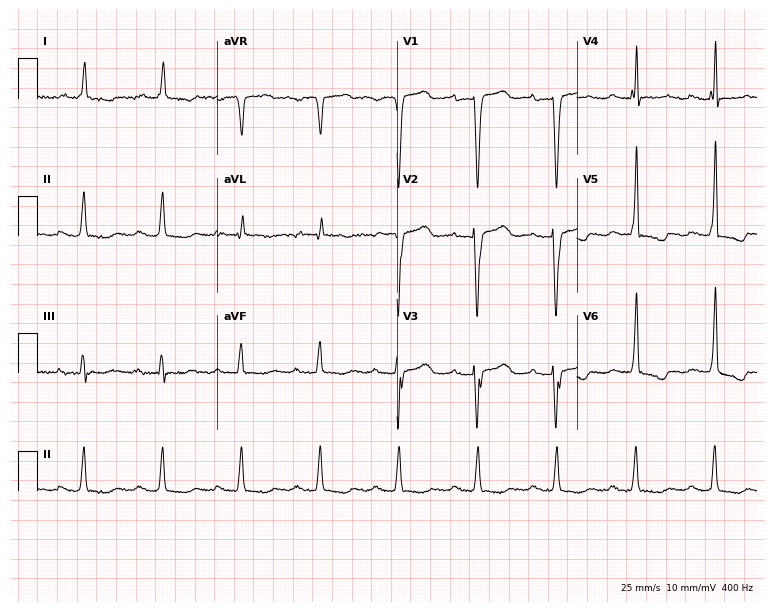
Electrocardiogram, an 81-year-old female. Interpretation includes first-degree AV block.